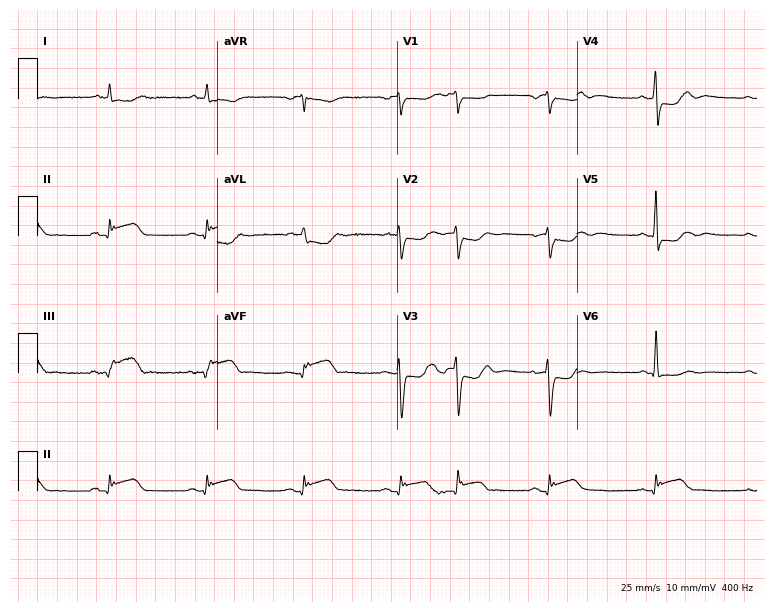
Resting 12-lead electrocardiogram (7.3-second recording at 400 Hz). Patient: a male, 78 years old. None of these six findings is recorded: first-degree AV block, right bundle branch block, left bundle branch block, sinus bradycardia, atrial fibrillation, sinus tachycardia. Other findings, if any, are not listed.